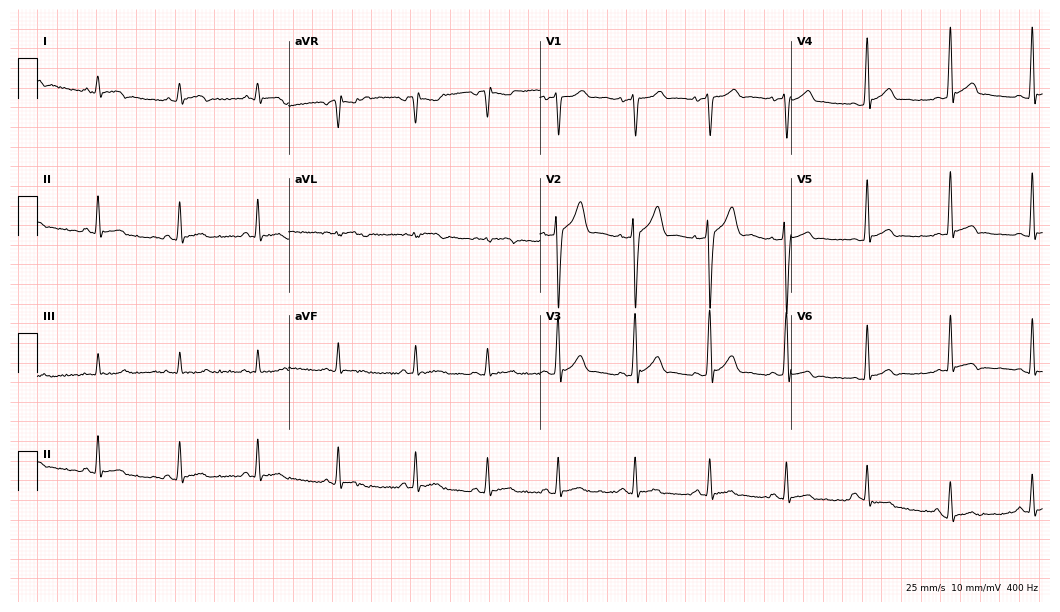
12-lead ECG (10.2-second recording at 400 Hz) from a male, 22 years old. Screened for six findings — first-degree AV block, right bundle branch block, left bundle branch block, sinus bradycardia, atrial fibrillation, sinus tachycardia — none is recorded. Findings outside these six are not listed.